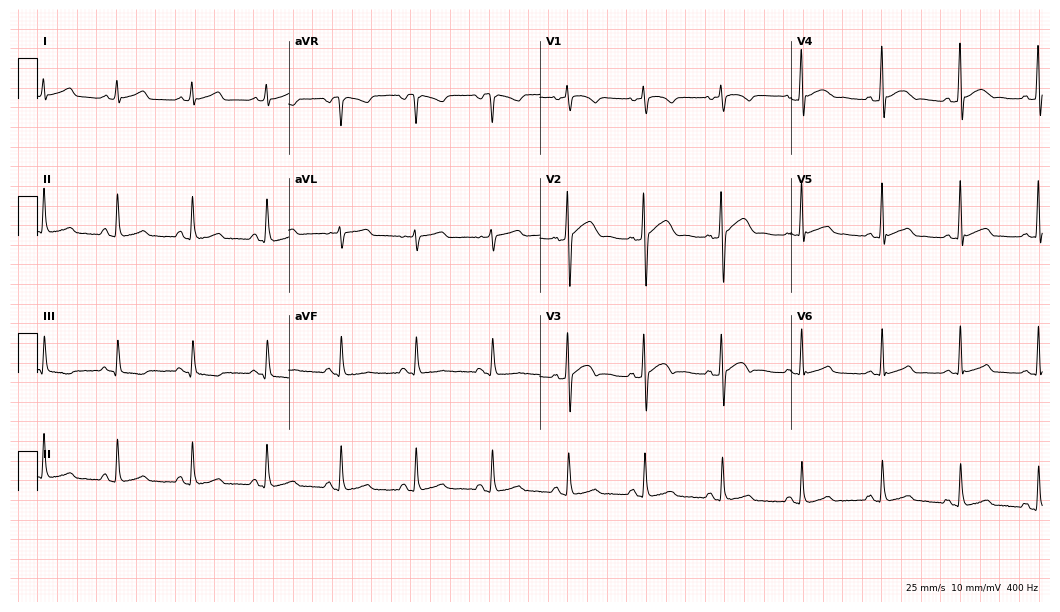
Standard 12-lead ECG recorded from a male, 28 years old (10.2-second recording at 400 Hz). None of these six findings is recorded: first-degree AV block, right bundle branch block, left bundle branch block, sinus bradycardia, atrial fibrillation, sinus tachycardia.